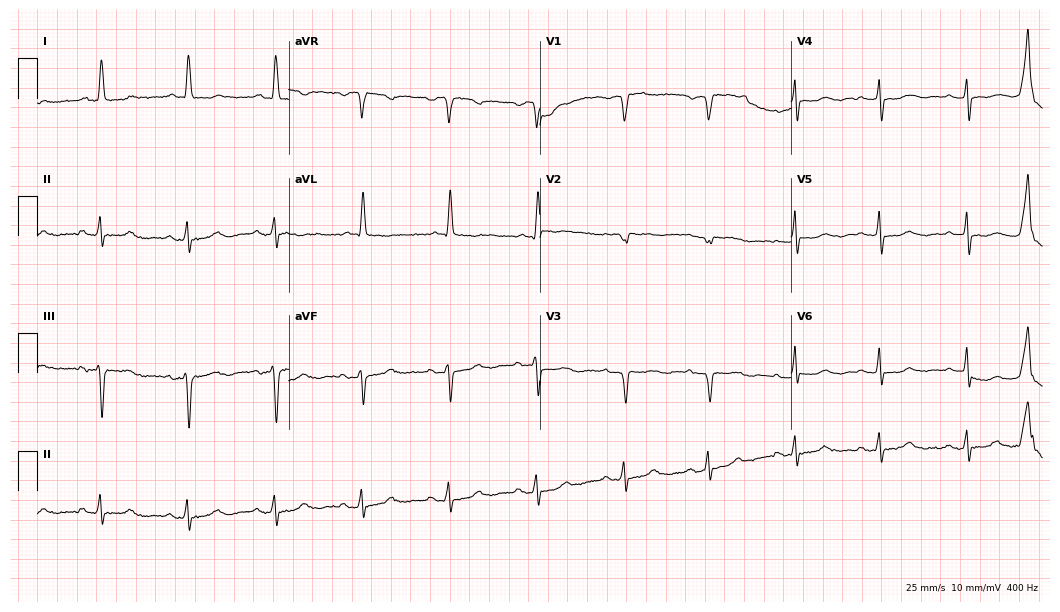
12-lead ECG (10.2-second recording at 400 Hz) from a 76-year-old female. Screened for six findings — first-degree AV block, right bundle branch block, left bundle branch block, sinus bradycardia, atrial fibrillation, sinus tachycardia — none is recorded.